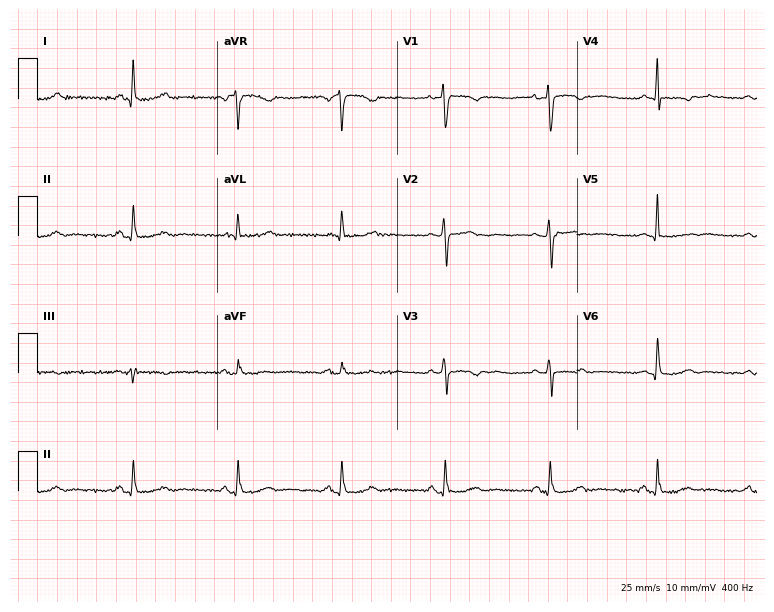
12-lead ECG from a 46-year-old female patient (7.3-second recording at 400 Hz). No first-degree AV block, right bundle branch block, left bundle branch block, sinus bradycardia, atrial fibrillation or sinus tachycardia recorded for this tracing. Only these six findings were labelled.